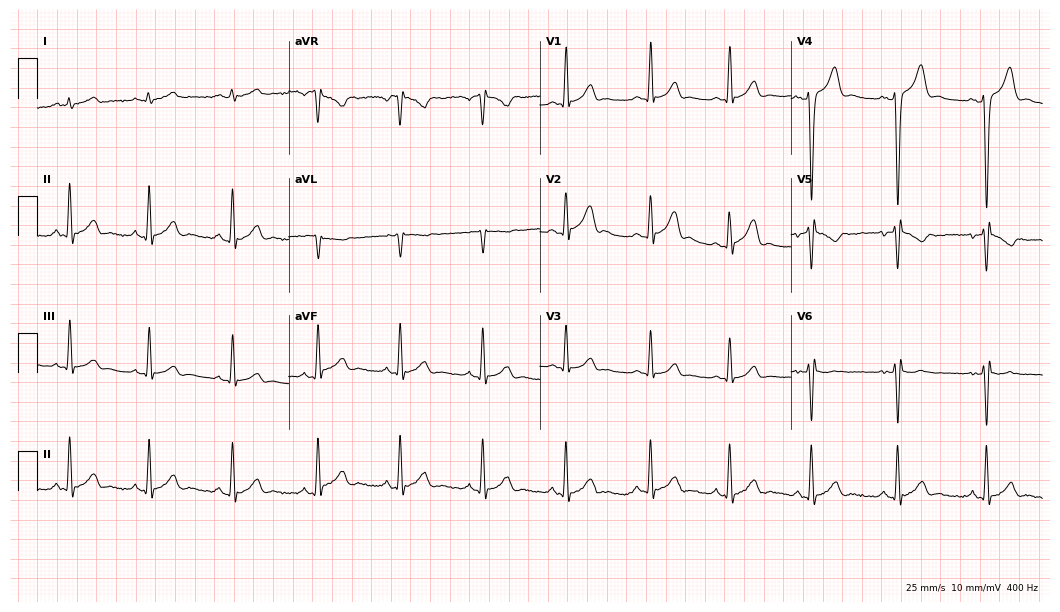
Standard 12-lead ECG recorded from a 20-year-old male (10.2-second recording at 400 Hz). None of these six findings is recorded: first-degree AV block, right bundle branch block (RBBB), left bundle branch block (LBBB), sinus bradycardia, atrial fibrillation (AF), sinus tachycardia.